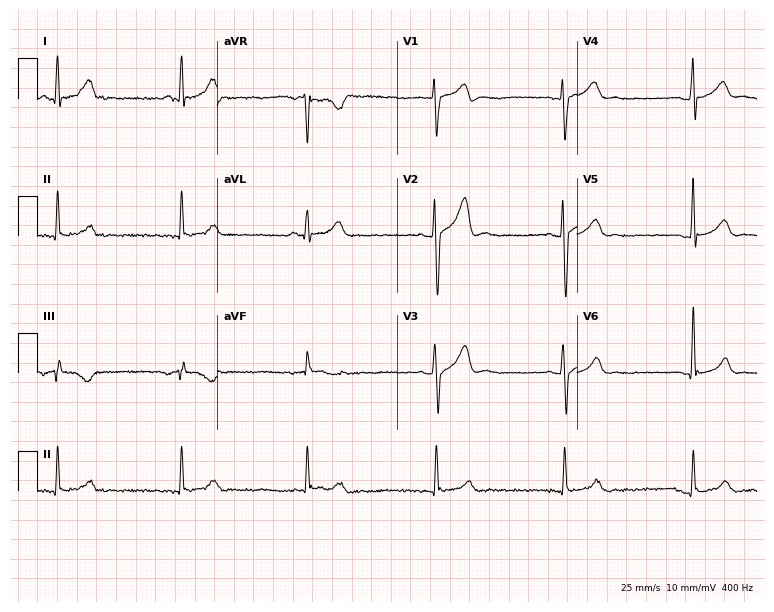
12-lead ECG (7.3-second recording at 400 Hz) from a 31-year-old male patient. Findings include sinus bradycardia (a sinus rate of 50 beats per minute or less).